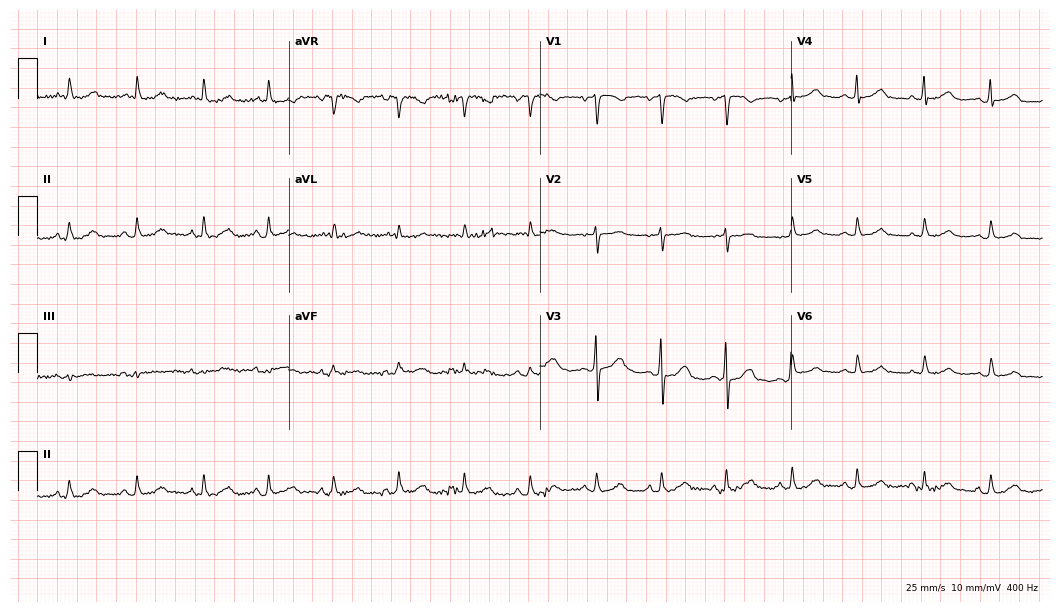
Electrocardiogram (10.2-second recording at 400 Hz), a woman, 57 years old. Of the six screened findings (first-degree AV block, right bundle branch block, left bundle branch block, sinus bradycardia, atrial fibrillation, sinus tachycardia), none is recorded.